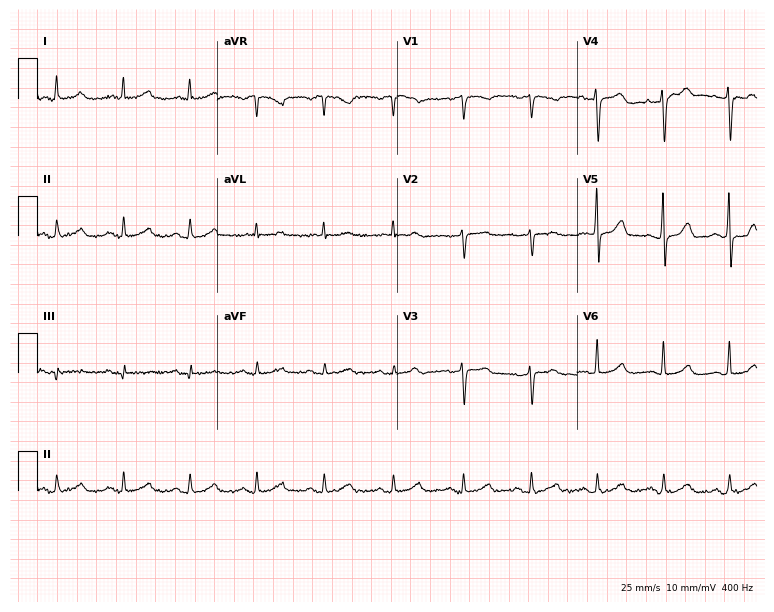
ECG (7.3-second recording at 400 Hz) — a woman, 43 years old. Labelled as a normal ECG.